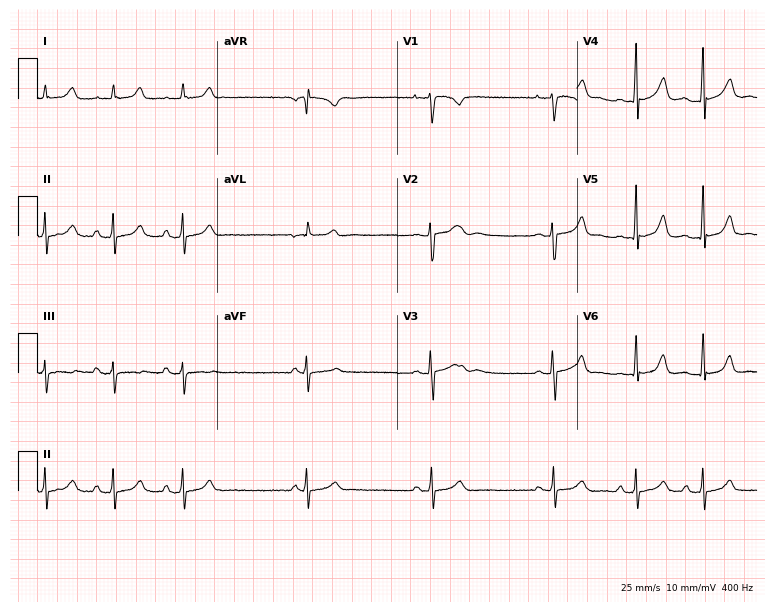
Standard 12-lead ECG recorded from a female patient, 17 years old. Read as a normal ECG.